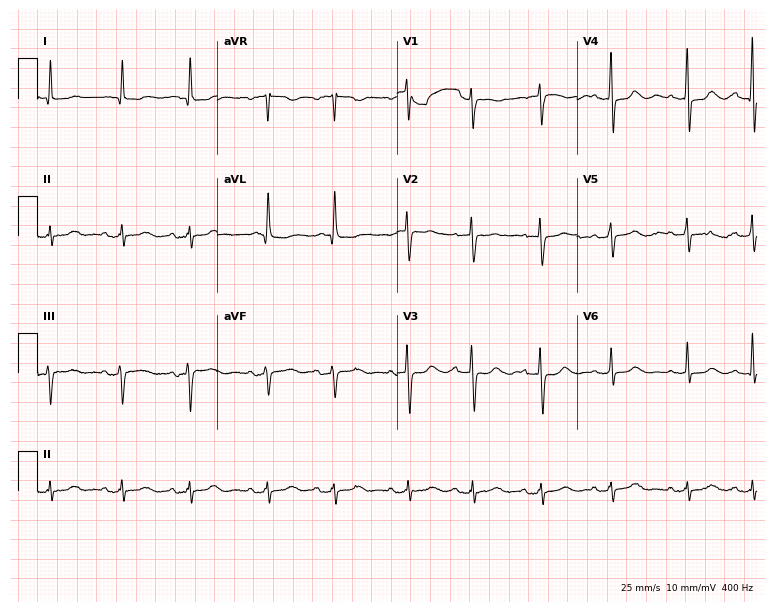
Resting 12-lead electrocardiogram (7.3-second recording at 400 Hz). Patient: a 64-year-old woman. None of these six findings is recorded: first-degree AV block, right bundle branch block, left bundle branch block, sinus bradycardia, atrial fibrillation, sinus tachycardia.